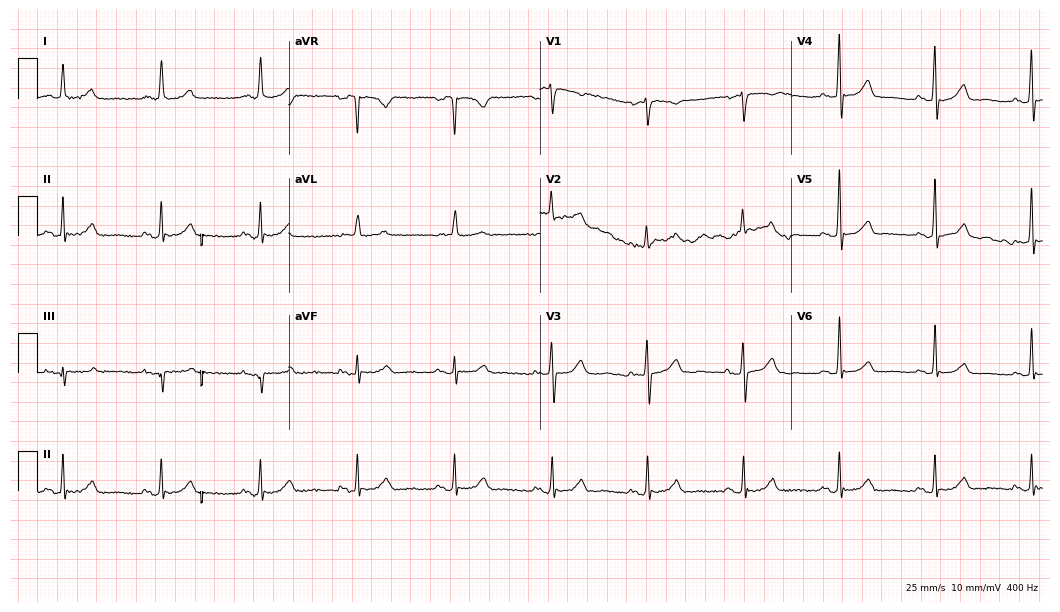
ECG — a female patient, 75 years old. Labelled as a normal ECG.